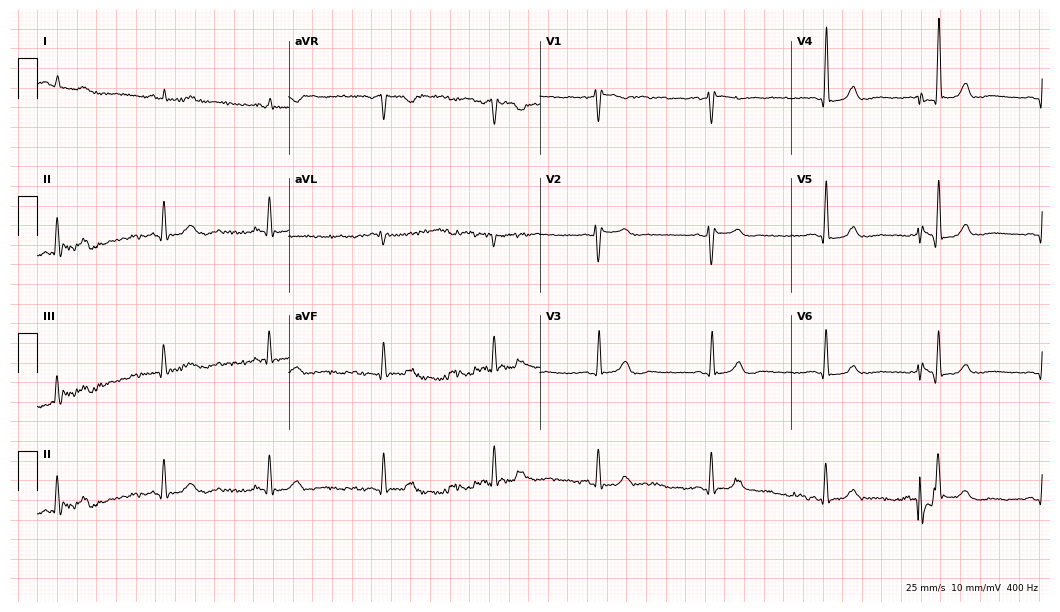
Resting 12-lead electrocardiogram. Patient: a 41-year-old female. None of these six findings is recorded: first-degree AV block, right bundle branch block, left bundle branch block, sinus bradycardia, atrial fibrillation, sinus tachycardia.